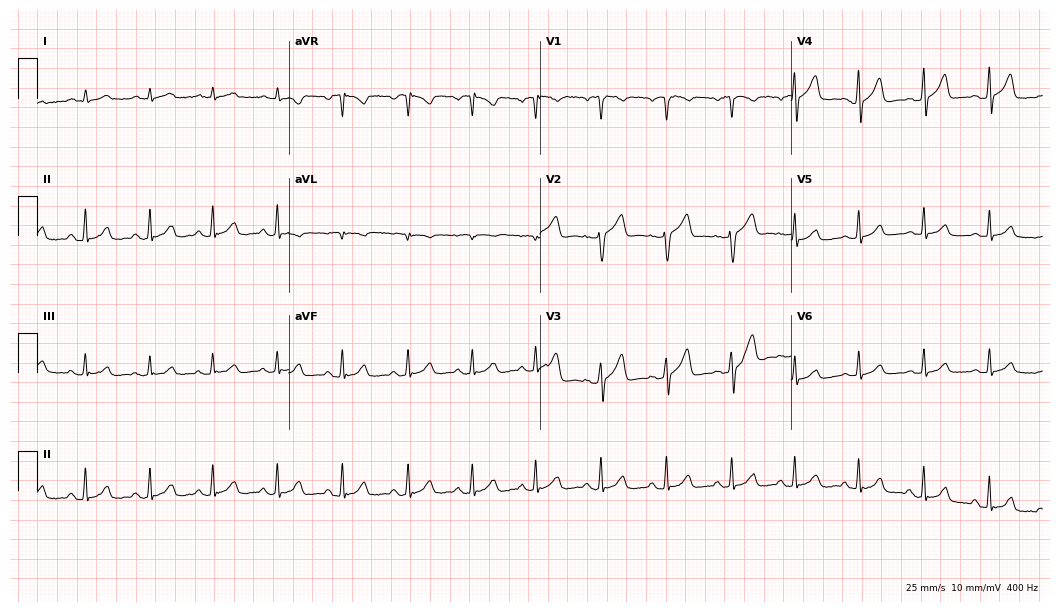
12-lead ECG (10.2-second recording at 400 Hz) from a 67-year-old woman. Screened for six findings — first-degree AV block, right bundle branch block, left bundle branch block, sinus bradycardia, atrial fibrillation, sinus tachycardia — none is recorded.